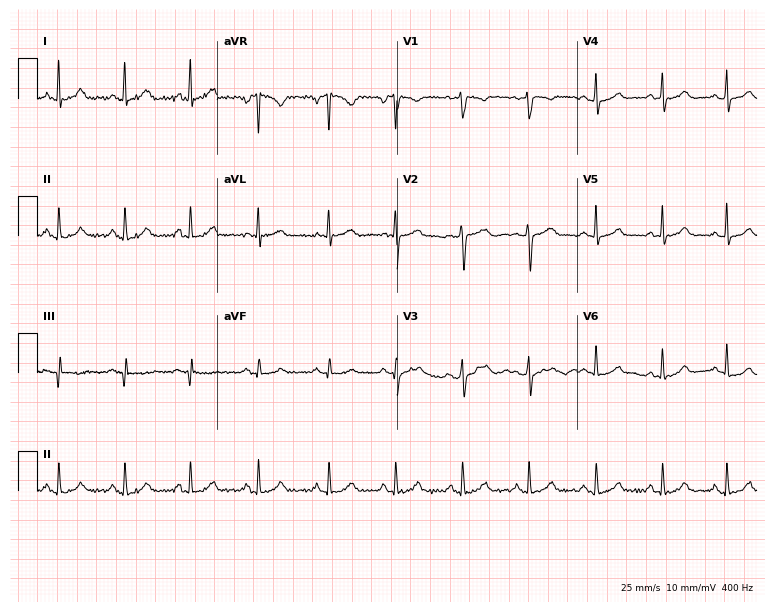
12-lead ECG from a female, 50 years old. No first-degree AV block, right bundle branch block (RBBB), left bundle branch block (LBBB), sinus bradycardia, atrial fibrillation (AF) or sinus tachycardia recorded for this tracing. Only these six findings were labelled.